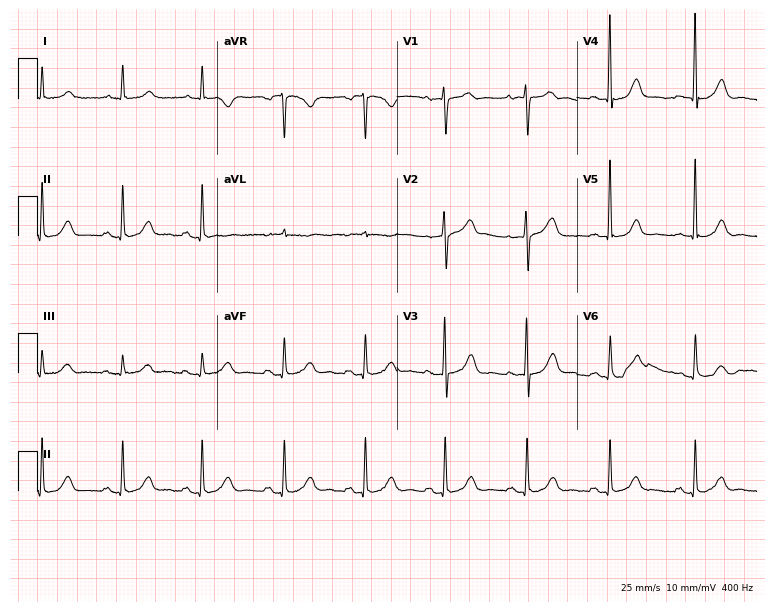
12-lead ECG from a woman, 72 years old. Recorded interpretation: within normal limits.